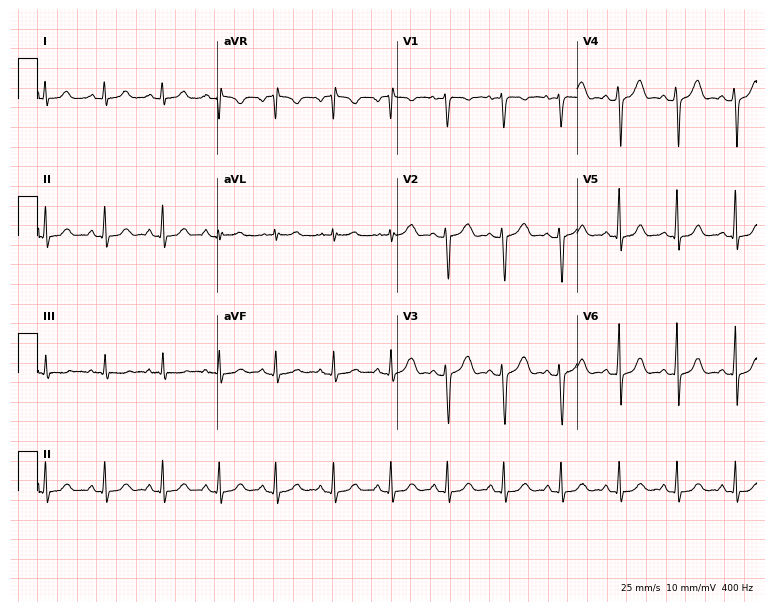
Standard 12-lead ECG recorded from a female patient, 29 years old. The tracing shows sinus tachycardia (a sinus rate of 100 beats per minute or more).